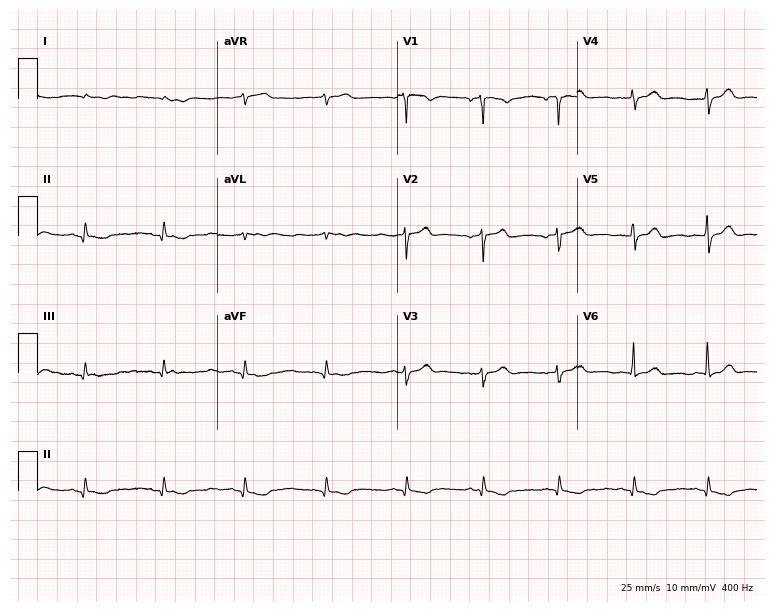
ECG — a female, 55 years old. Screened for six findings — first-degree AV block, right bundle branch block (RBBB), left bundle branch block (LBBB), sinus bradycardia, atrial fibrillation (AF), sinus tachycardia — none is recorded. Only these six findings were labelled.